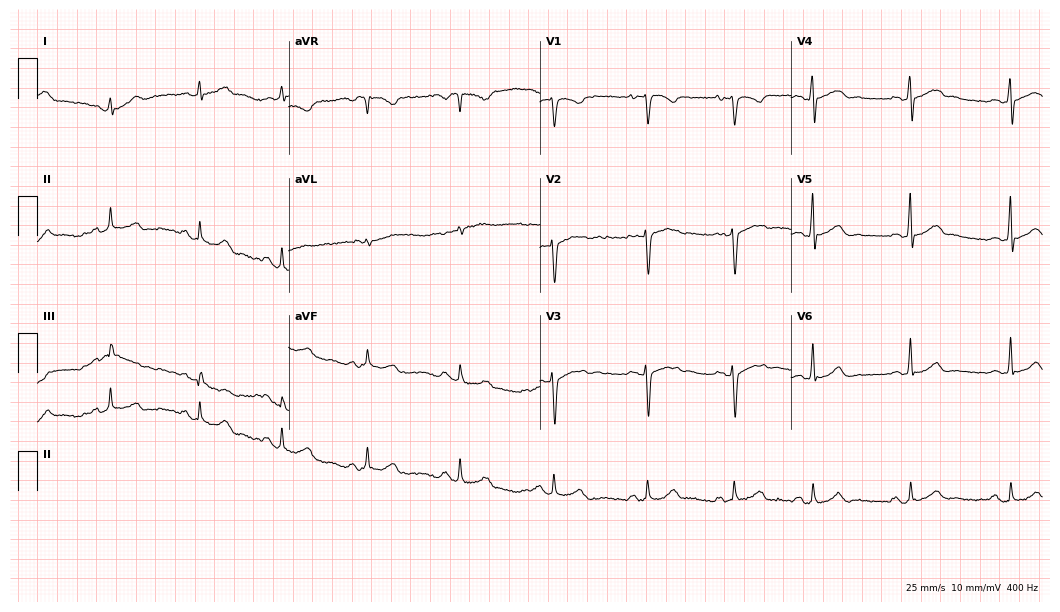
12-lead ECG from a woman, 23 years old. Recorded interpretation: within normal limits.